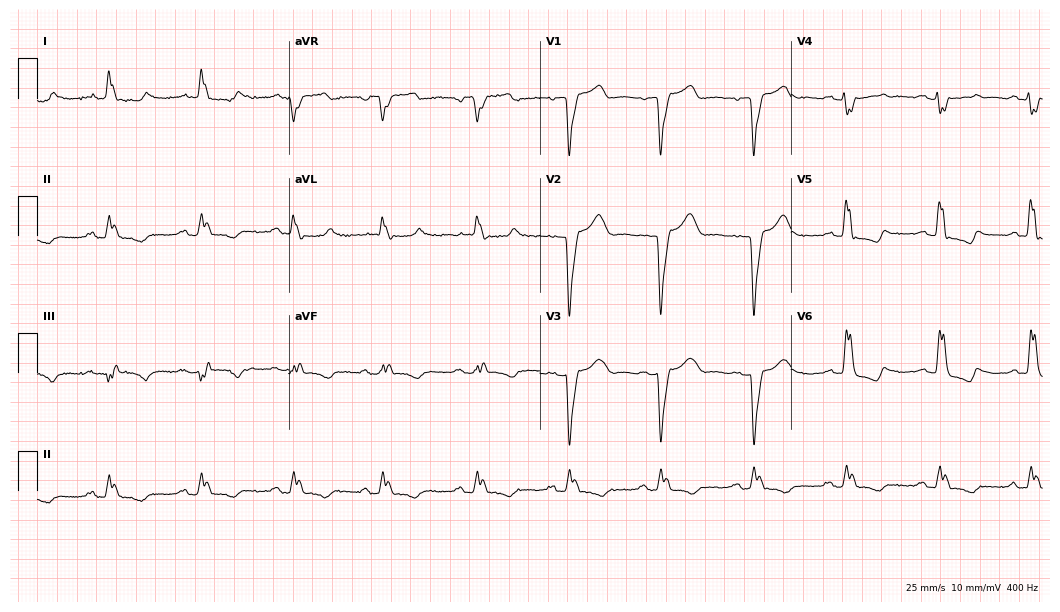
12-lead ECG from an 84-year-old female. Findings include left bundle branch block.